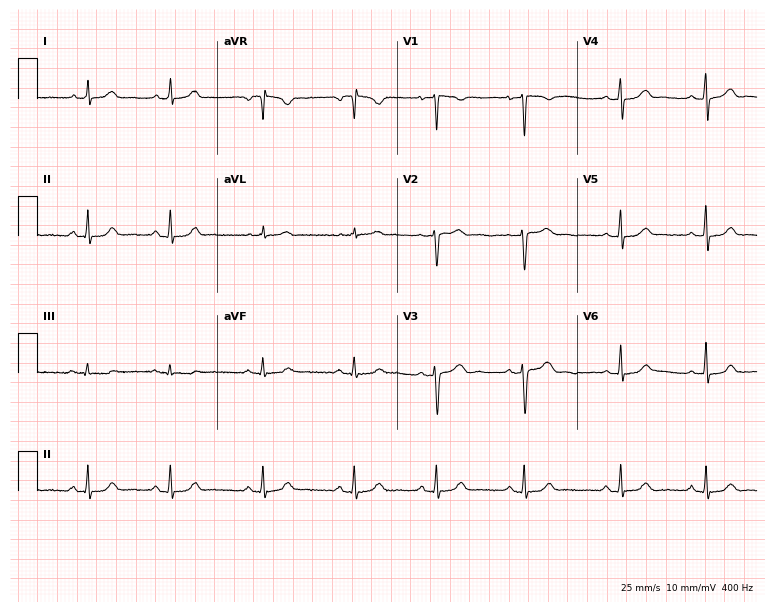
ECG — a 49-year-old female patient. Screened for six findings — first-degree AV block, right bundle branch block (RBBB), left bundle branch block (LBBB), sinus bradycardia, atrial fibrillation (AF), sinus tachycardia — none is recorded. Only these six findings were labelled.